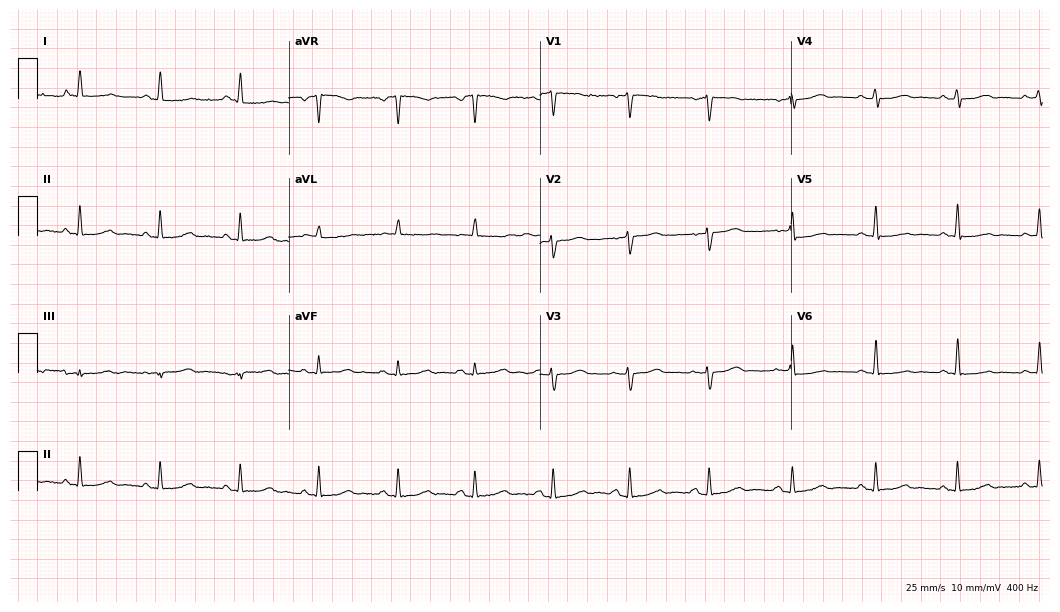
12-lead ECG from an 83-year-old female patient. Screened for six findings — first-degree AV block, right bundle branch block, left bundle branch block, sinus bradycardia, atrial fibrillation, sinus tachycardia — none is recorded. Findings outside these six are not listed.